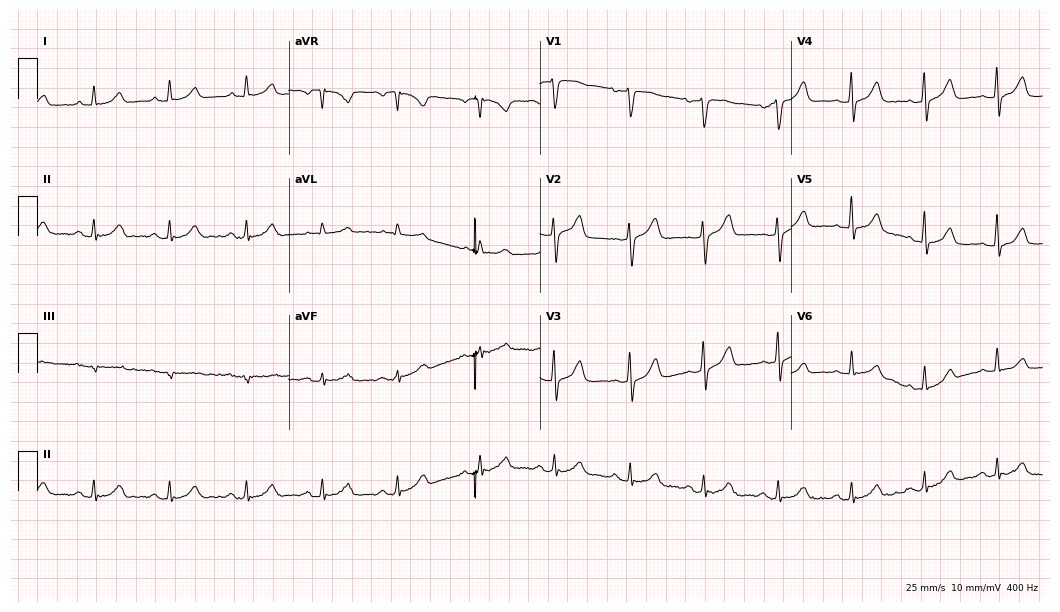
ECG (10.2-second recording at 400 Hz) — a man, 67 years old. Labelled as a normal ECG.